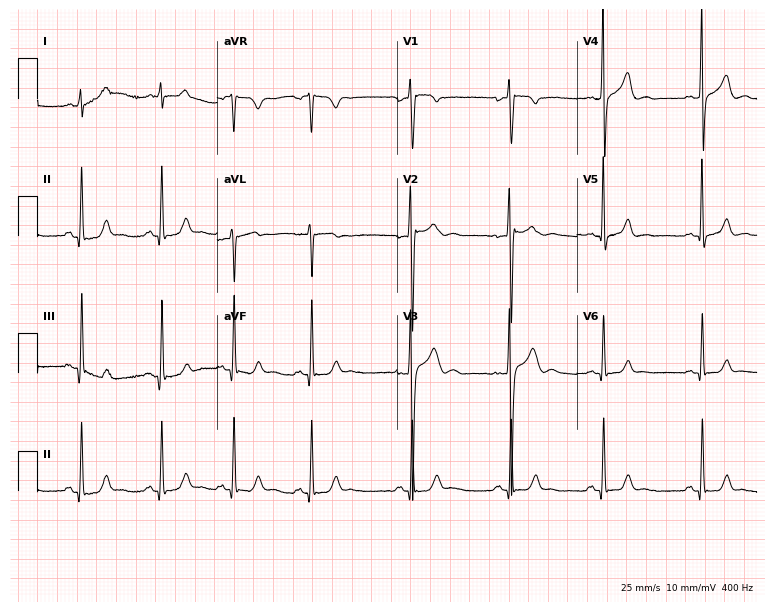
Electrocardiogram (7.3-second recording at 400 Hz), a man, 20 years old. Overall reading on record: normal ECG.